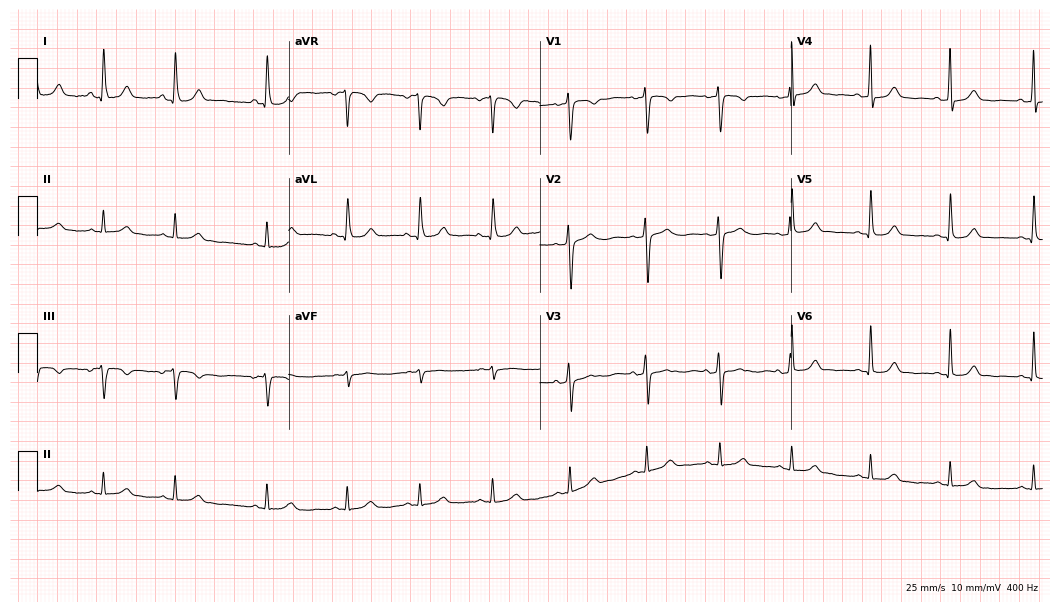
Standard 12-lead ECG recorded from a 45-year-old woman (10.2-second recording at 400 Hz). Read as a normal ECG.